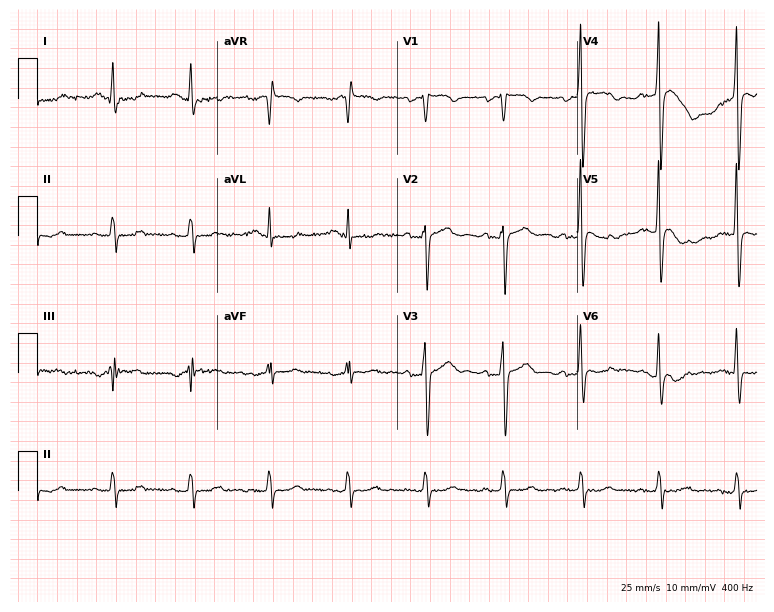
ECG (7.3-second recording at 400 Hz) — a 71-year-old male patient. Screened for six findings — first-degree AV block, right bundle branch block (RBBB), left bundle branch block (LBBB), sinus bradycardia, atrial fibrillation (AF), sinus tachycardia — none is recorded. Findings outside these six are not listed.